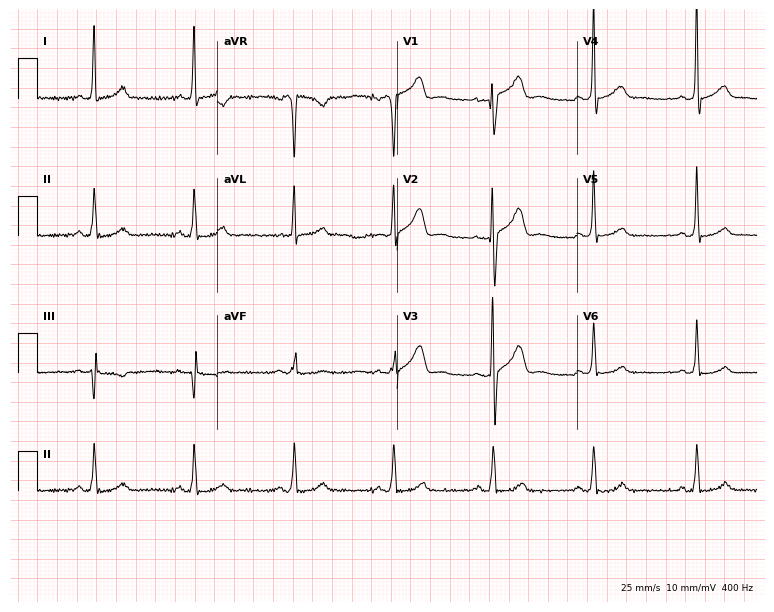
Resting 12-lead electrocardiogram (7.3-second recording at 400 Hz). Patient: a man, 27 years old. Read as a normal ECG.